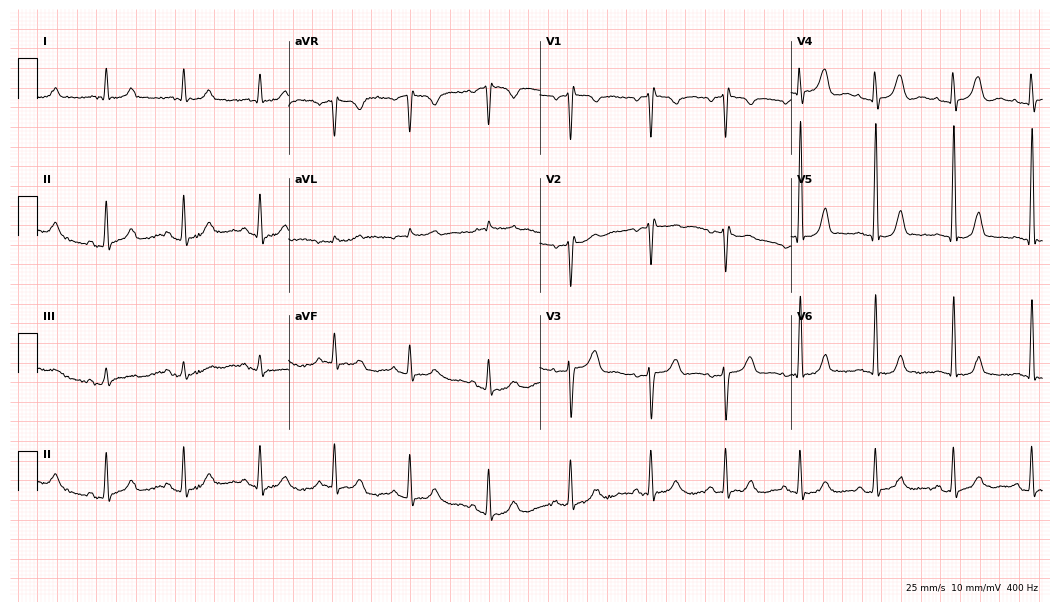
ECG (10.2-second recording at 400 Hz) — a woman, 70 years old. Screened for six findings — first-degree AV block, right bundle branch block, left bundle branch block, sinus bradycardia, atrial fibrillation, sinus tachycardia — none is recorded.